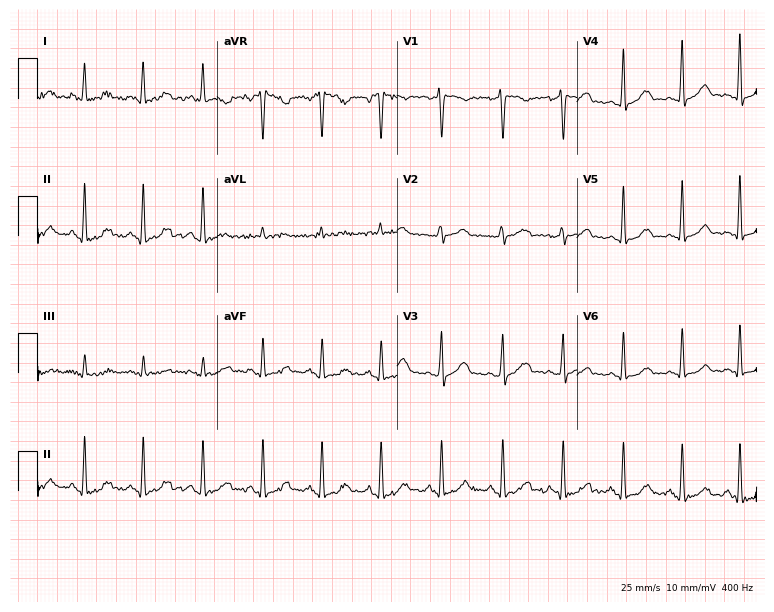
ECG (7.3-second recording at 400 Hz) — a female, 31 years old. Screened for six findings — first-degree AV block, right bundle branch block, left bundle branch block, sinus bradycardia, atrial fibrillation, sinus tachycardia — none is recorded.